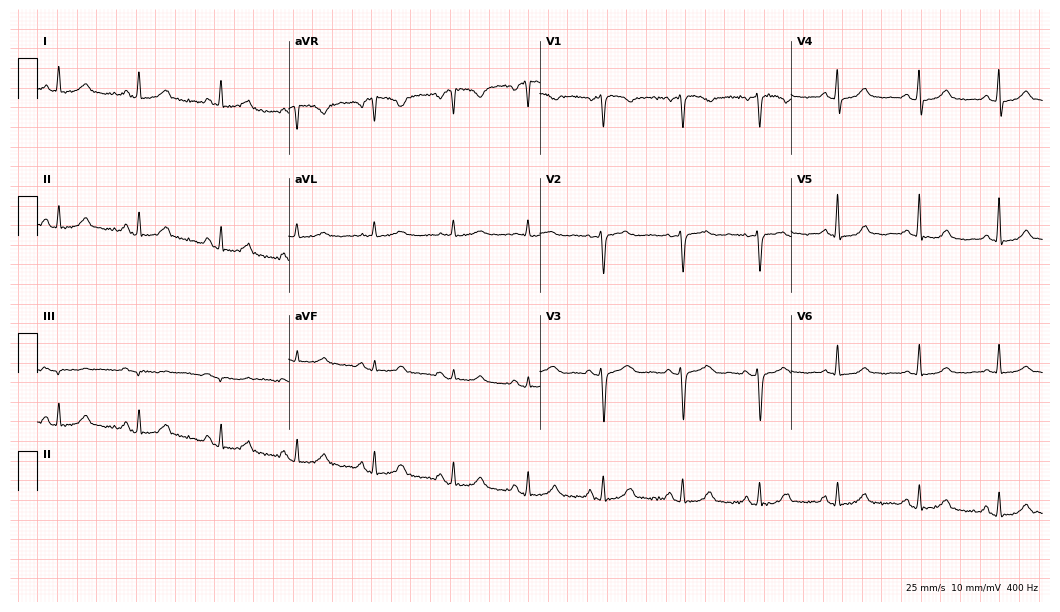
ECG — a female patient, 53 years old. Labelled as a normal ECG.